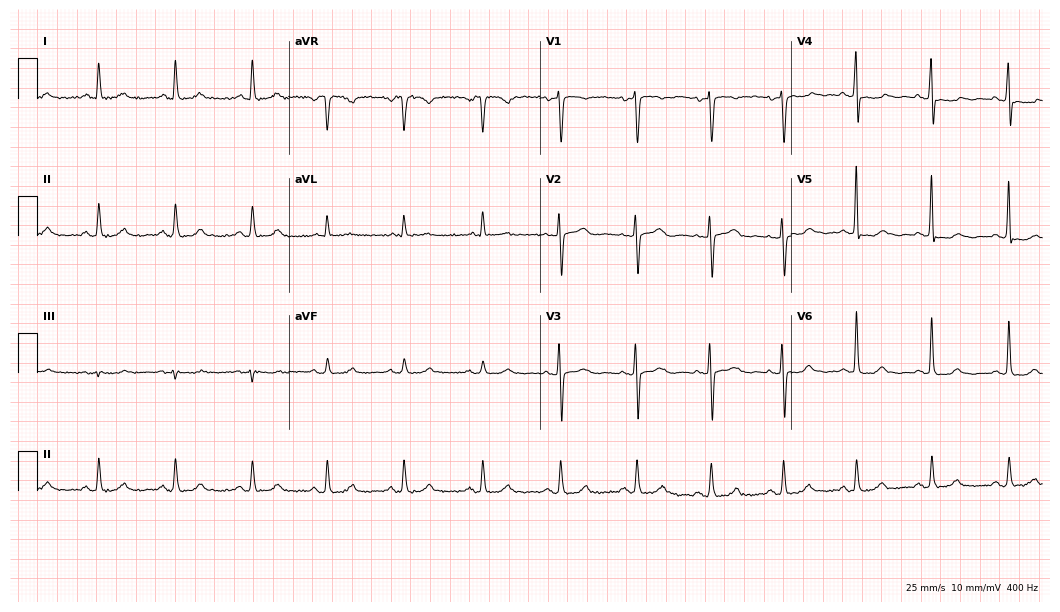
12-lead ECG from a 70-year-old woman. No first-degree AV block, right bundle branch block, left bundle branch block, sinus bradycardia, atrial fibrillation or sinus tachycardia recorded for this tracing.